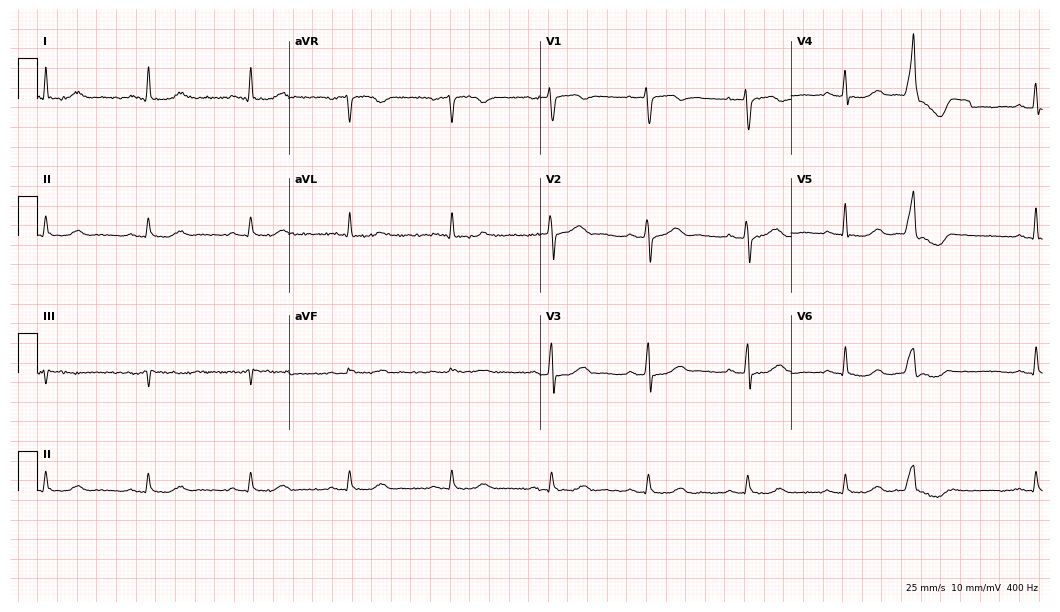
12-lead ECG from a woman, 78 years old (10.2-second recording at 400 Hz). No first-degree AV block, right bundle branch block (RBBB), left bundle branch block (LBBB), sinus bradycardia, atrial fibrillation (AF) or sinus tachycardia recorded for this tracing. Other findings, if any, are not listed.